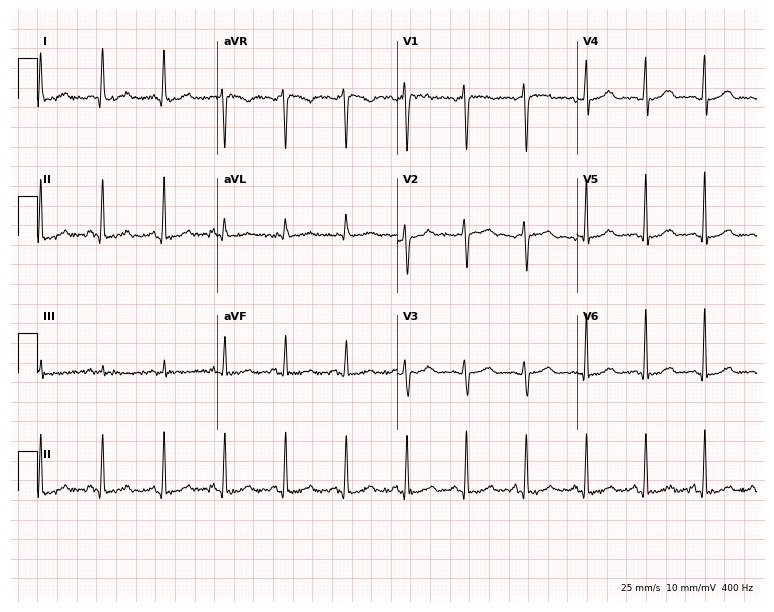
Electrocardiogram, a 37-year-old woman. Of the six screened findings (first-degree AV block, right bundle branch block, left bundle branch block, sinus bradycardia, atrial fibrillation, sinus tachycardia), none is recorded. Other findings, if any, are not listed.